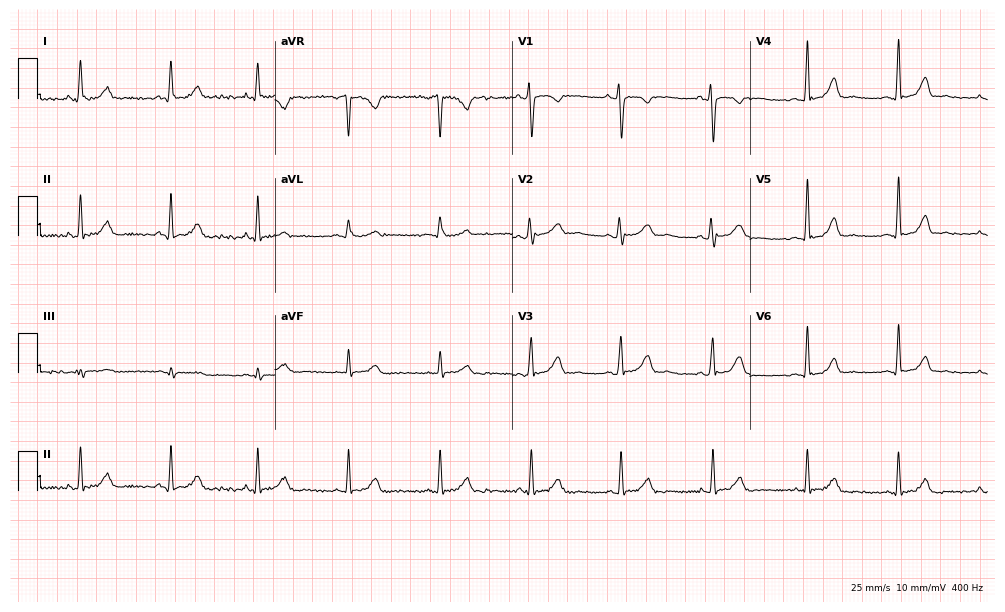
12-lead ECG from a 37-year-old female (9.7-second recording at 400 Hz). Recorded interpretation: within normal limits.